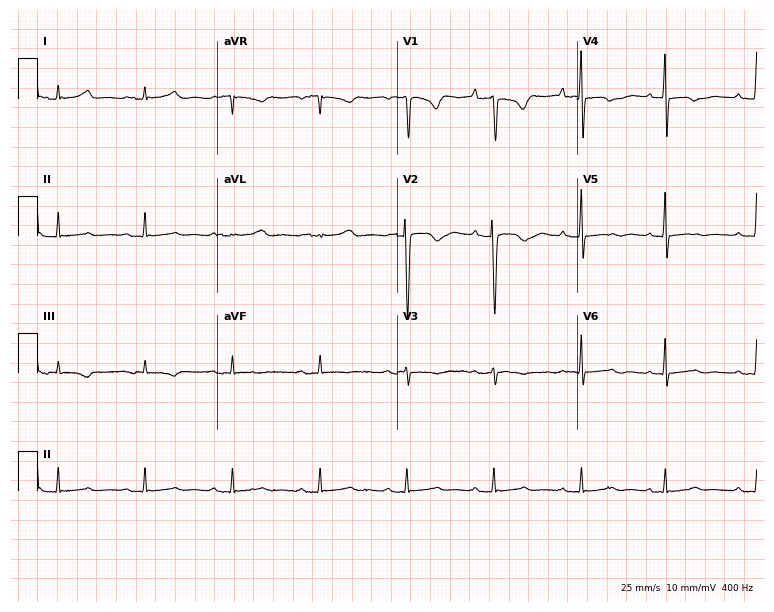
12-lead ECG from an 83-year-old female. Screened for six findings — first-degree AV block, right bundle branch block, left bundle branch block, sinus bradycardia, atrial fibrillation, sinus tachycardia — none is recorded. Findings outside these six are not listed.